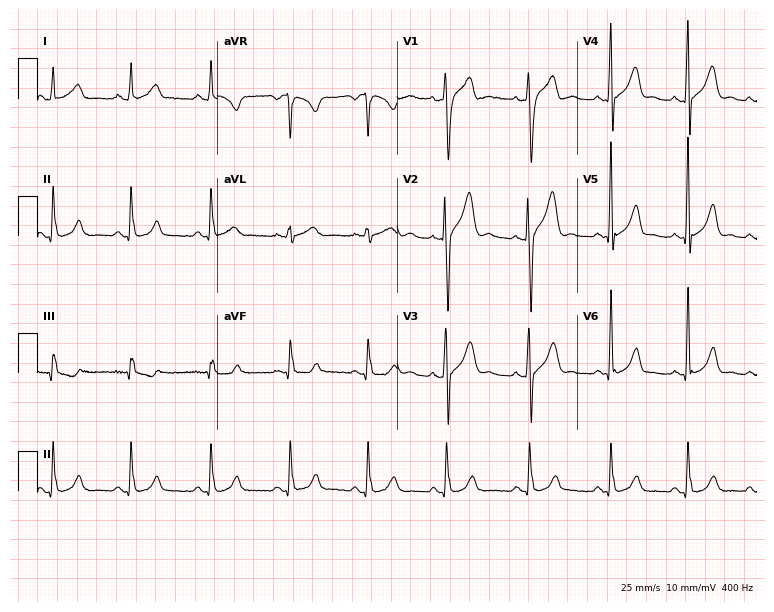
Electrocardiogram, a male, 32 years old. Overall reading on record: normal ECG.